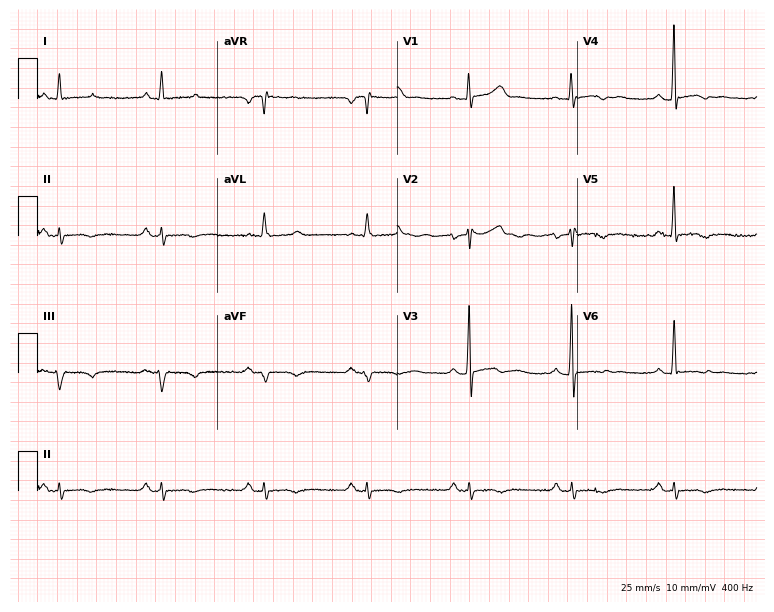
12-lead ECG from a male patient, 40 years old. No first-degree AV block, right bundle branch block, left bundle branch block, sinus bradycardia, atrial fibrillation or sinus tachycardia recorded for this tracing.